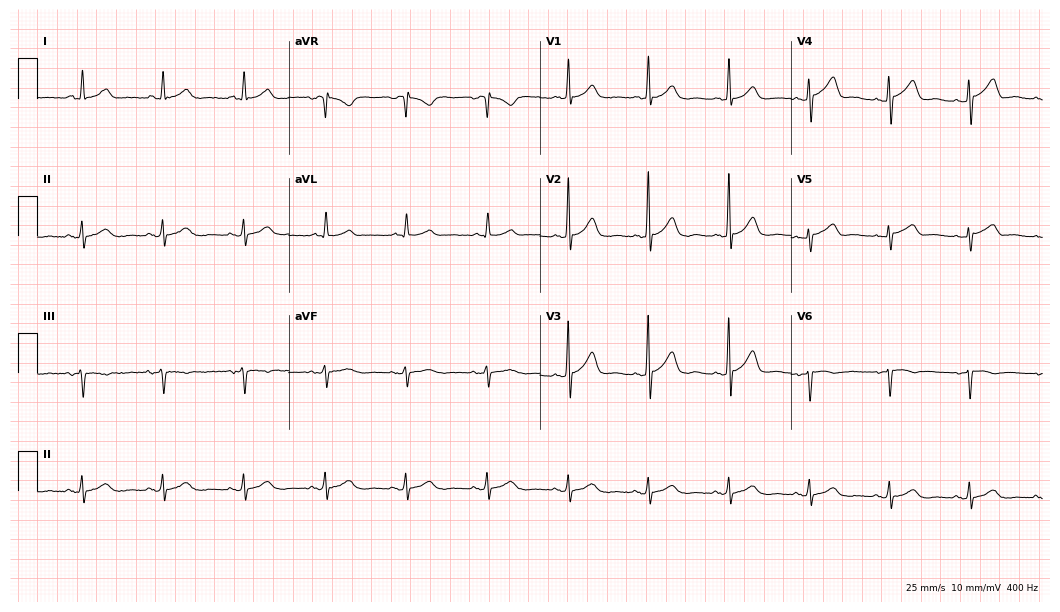
Electrocardiogram, a woman, 69 years old. Of the six screened findings (first-degree AV block, right bundle branch block, left bundle branch block, sinus bradycardia, atrial fibrillation, sinus tachycardia), none is recorded. Only these six findings were labelled.